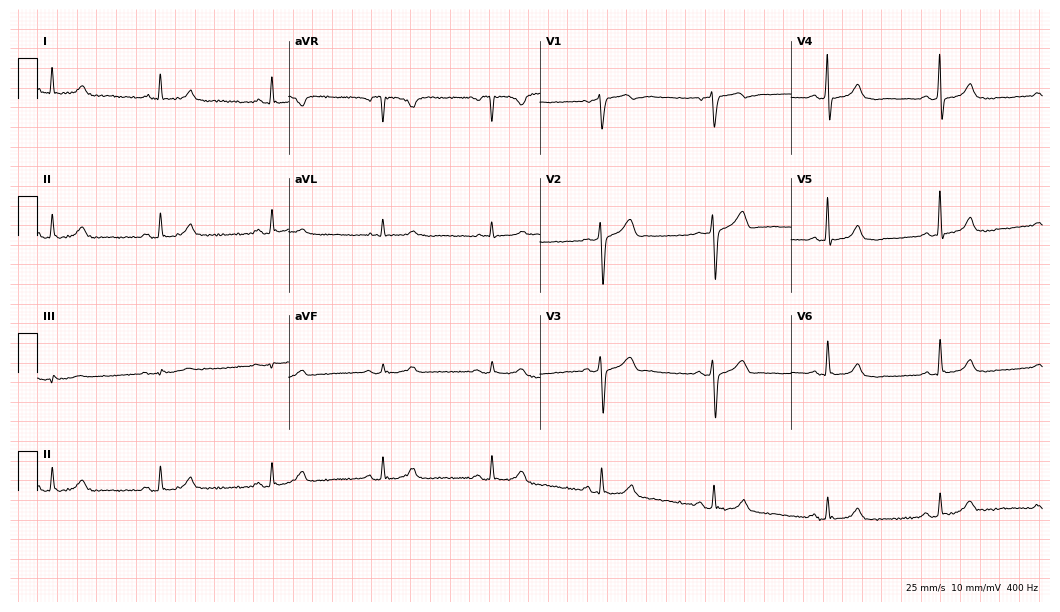
12-lead ECG from a 78-year-old male patient. No first-degree AV block, right bundle branch block, left bundle branch block, sinus bradycardia, atrial fibrillation or sinus tachycardia recorded for this tracing.